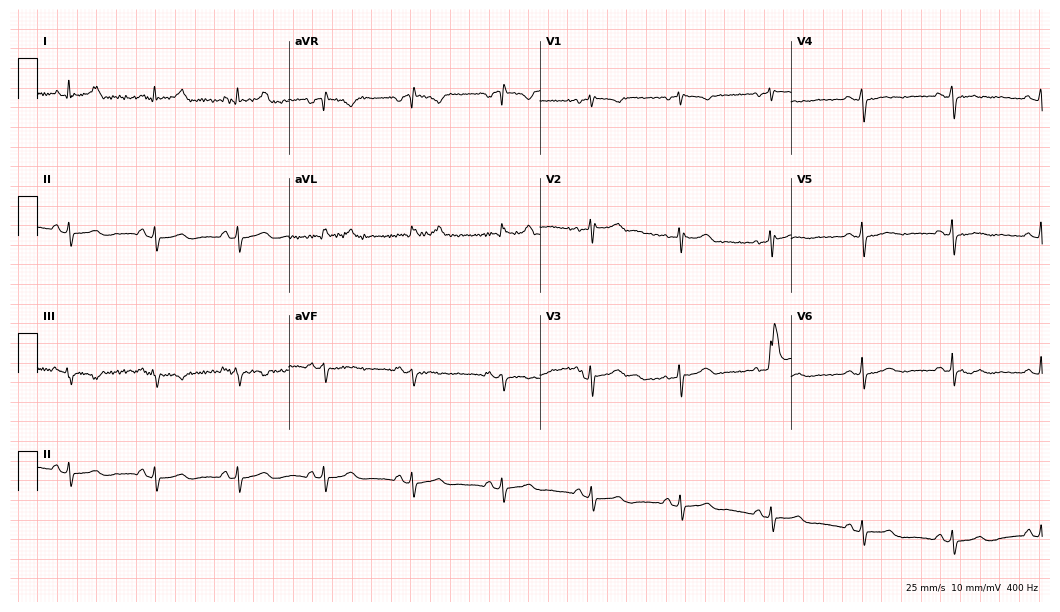
ECG — a female patient, 59 years old. Screened for six findings — first-degree AV block, right bundle branch block, left bundle branch block, sinus bradycardia, atrial fibrillation, sinus tachycardia — none is recorded. Findings outside these six are not listed.